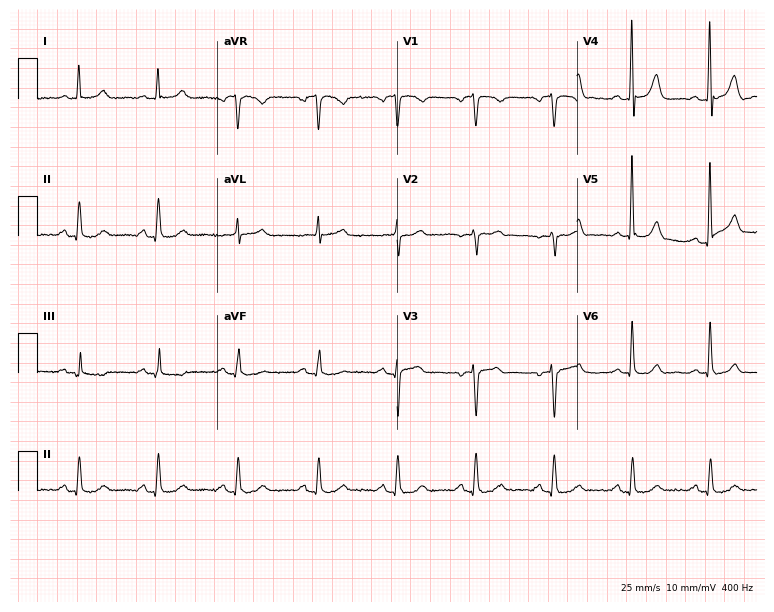
ECG — a 67-year-old man. Labelled as a normal ECG.